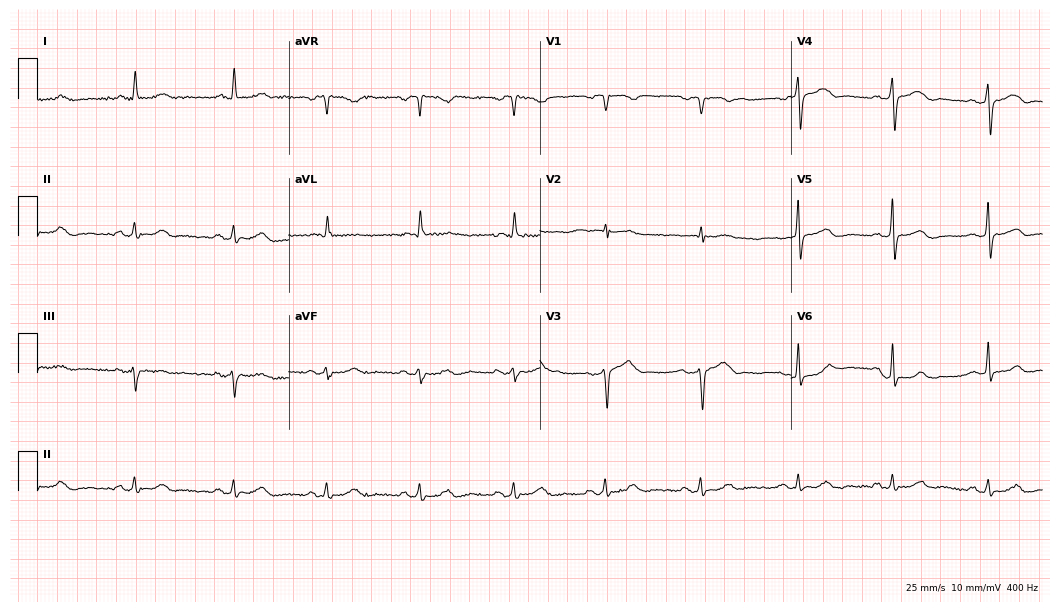
12-lead ECG from a female patient, 69 years old. Screened for six findings — first-degree AV block, right bundle branch block, left bundle branch block, sinus bradycardia, atrial fibrillation, sinus tachycardia — none is recorded. Other findings, if any, are not listed.